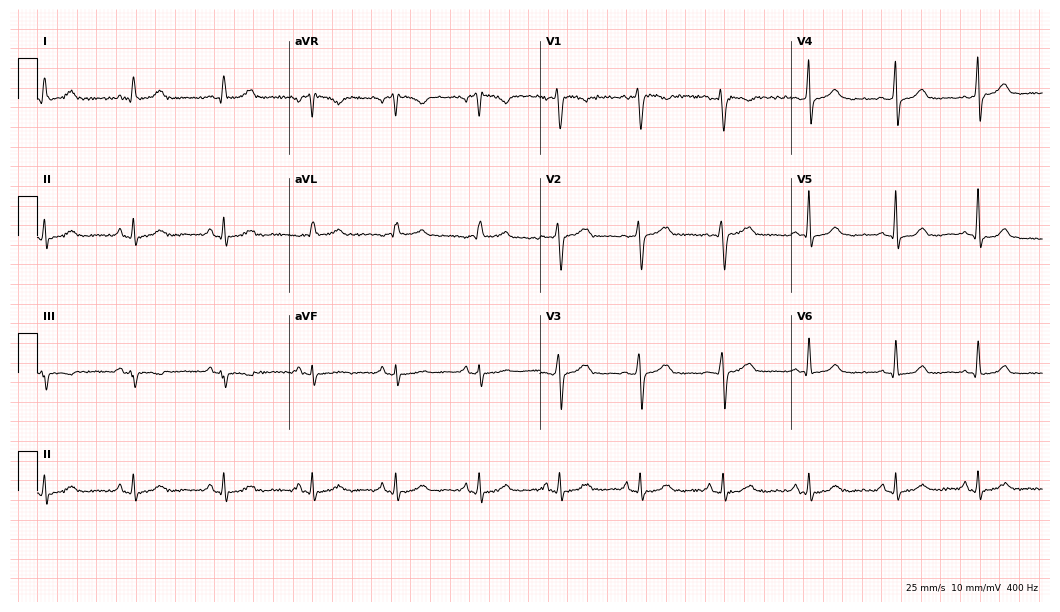
12-lead ECG from a 40-year-old female patient (10.2-second recording at 400 Hz). Recorded interpretation: within normal limits.